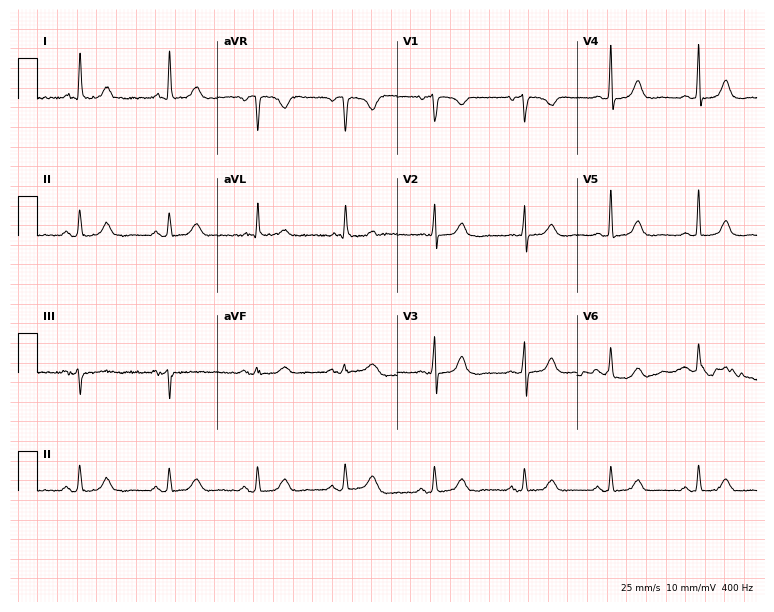
12-lead ECG (7.3-second recording at 400 Hz) from a female, 77 years old. Labelled as a normal ECG.